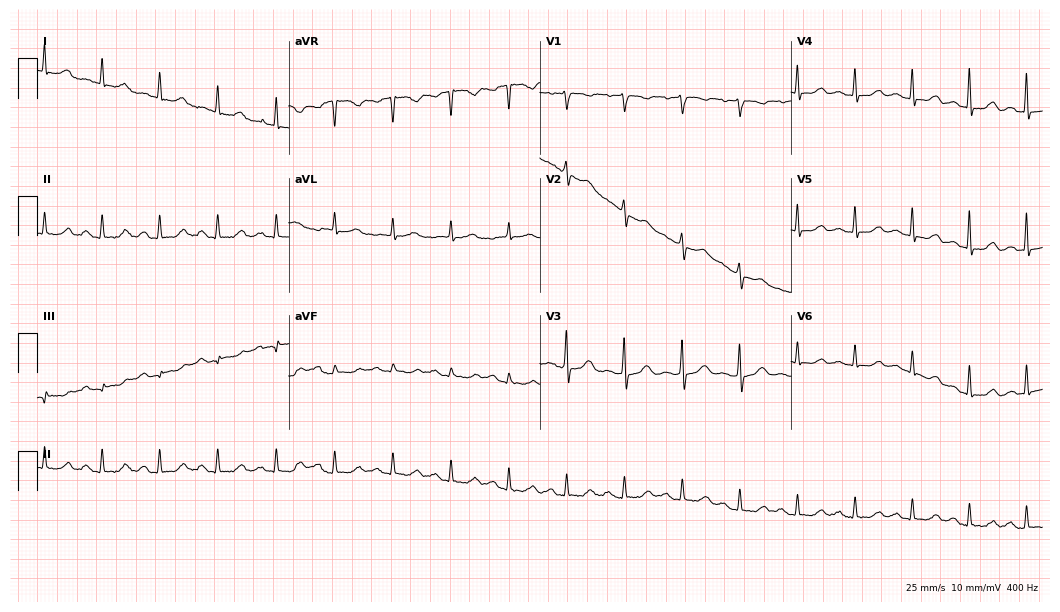
Electrocardiogram (10.2-second recording at 400 Hz), a woman, 79 years old. Interpretation includes sinus tachycardia (a sinus rate of 100 beats per minute or more).